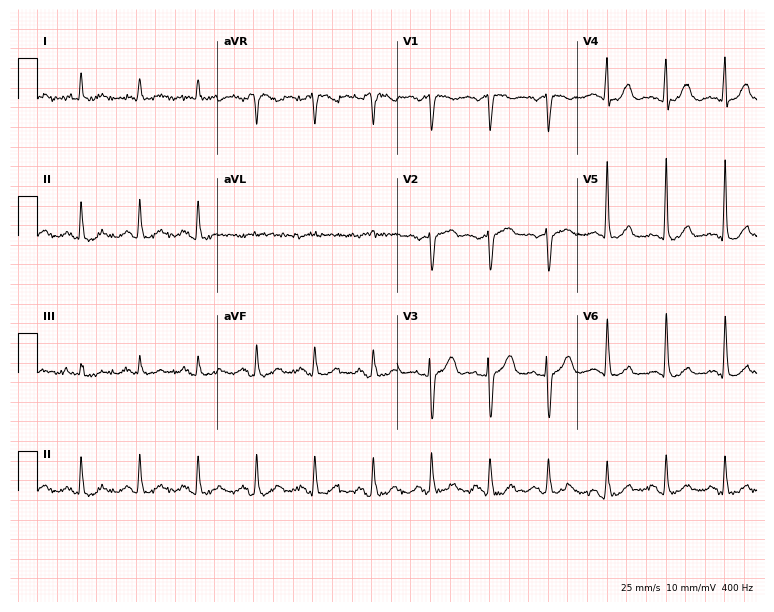
Standard 12-lead ECG recorded from a man, 81 years old. None of these six findings is recorded: first-degree AV block, right bundle branch block (RBBB), left bundle branch block (LBBB), sinus bradycardia, atrial fibrillation (AF), sinus tachycardia.